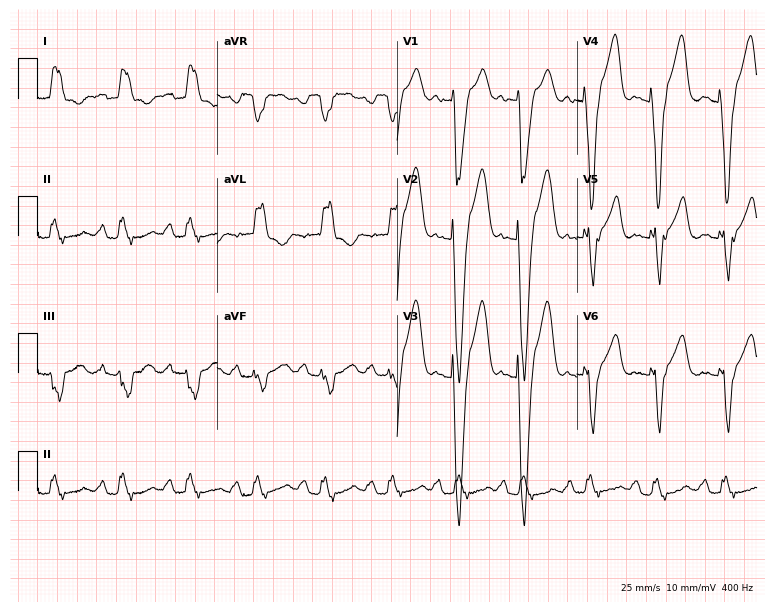
12-lead ECG (7.3-second recording at 400 Hz) from a 58-year-old female patient. Screened for six findings — first-degree AV block, right bundle branch block, left bundle branch block, sinus bradycardia, atrial fibrillation, sinus tachycardia — none is recorded. Other findings, if any, are not listed.